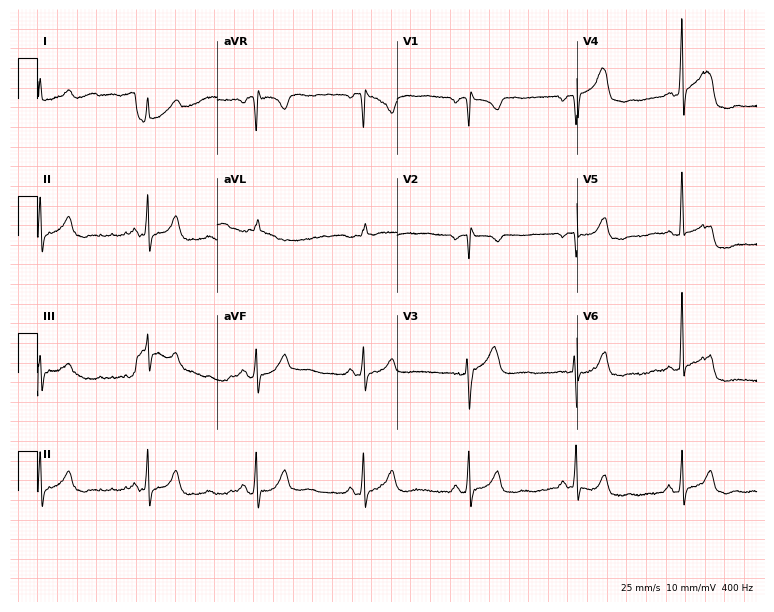
12-lead ECG from a 63-year-old male. No first-degree AV block, right bundle branch block, left bundle branch block, sinus bradycardia, atrial fibrillation or sinus tachycardia recorded for this tracing. Findings outside these six are not listed.